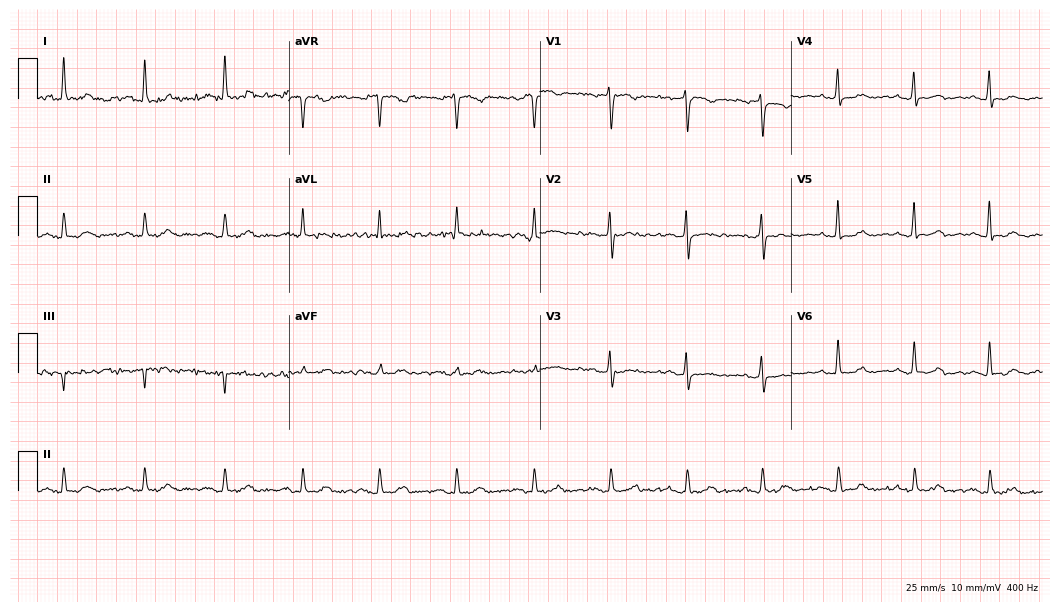
Standard 12-lead ECG recorded from a female, 70 years old. Read as a normal ECG.